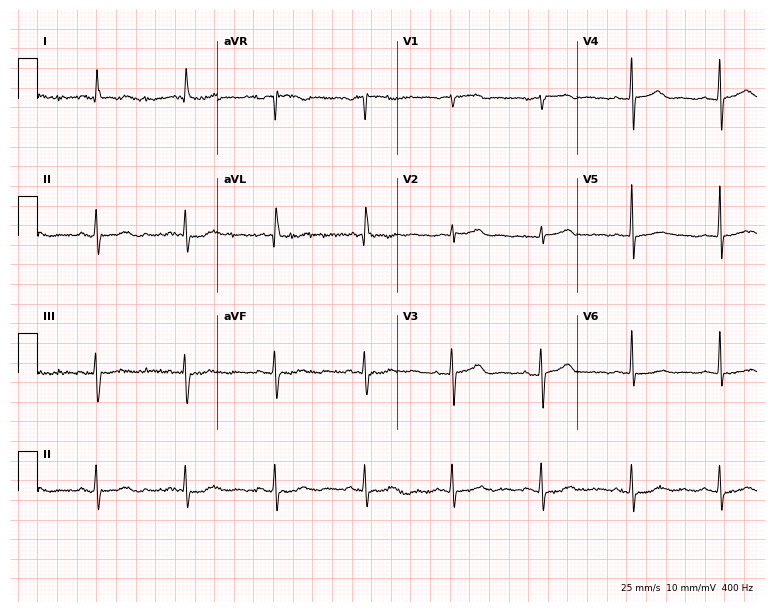
ECG (7.3-second recording at 400 Hz) — a woman, 71 years old. Screened for six findings — first-degree AV block, right bundle branch block (RBBB), left bundle branch block (LBBB), sinus bradycardia, atrial fibrillation (AF), sinus tachycardia — none is recorded.